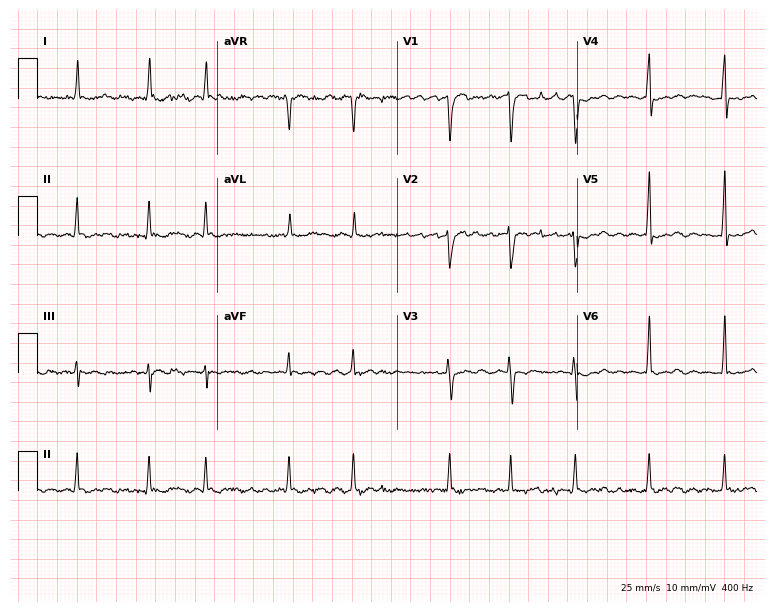
Resting 12-lead electrocardiogram. Patient: a 47-year-old female. The tracing shows atrial fibrillation (AF).